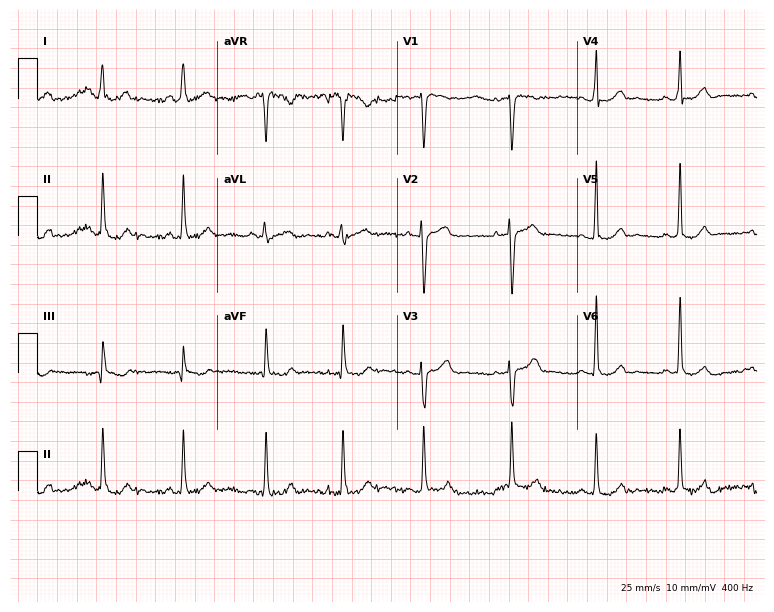
Electrocardiogram (7.3-second recording at 400 Hz), a 20-year-old female. Overall reading on record: normal ECG.